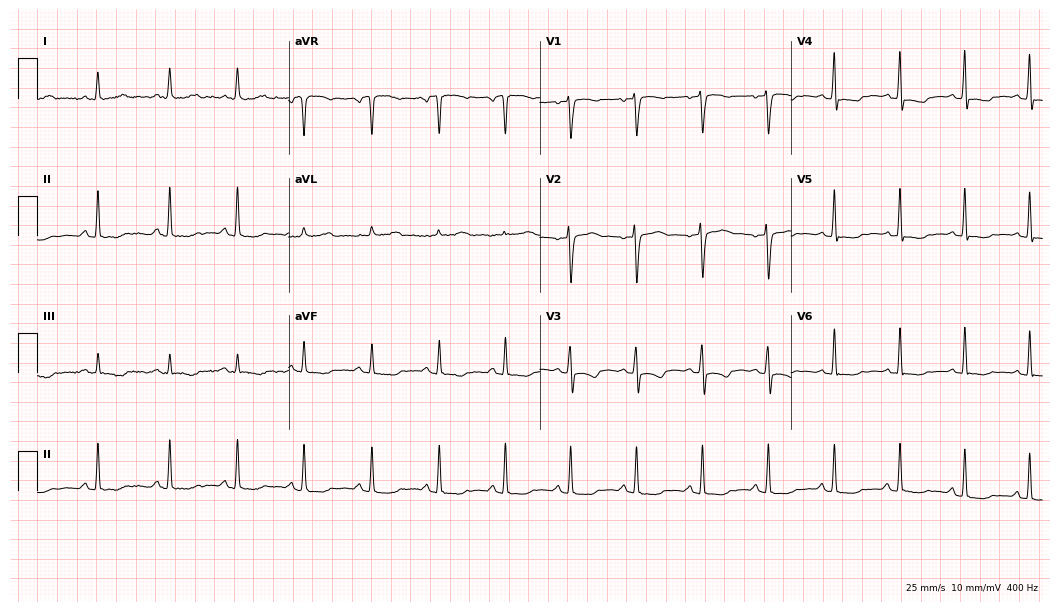
12-lead ECG from a female, 44 years old (10.2-second recording at 400 Hz). No first-degree AV block, right bundle branch block, left bundle branch block, sinus bradycardia, atrial fibrillation or sinus tachycardia recorded for this tracing.